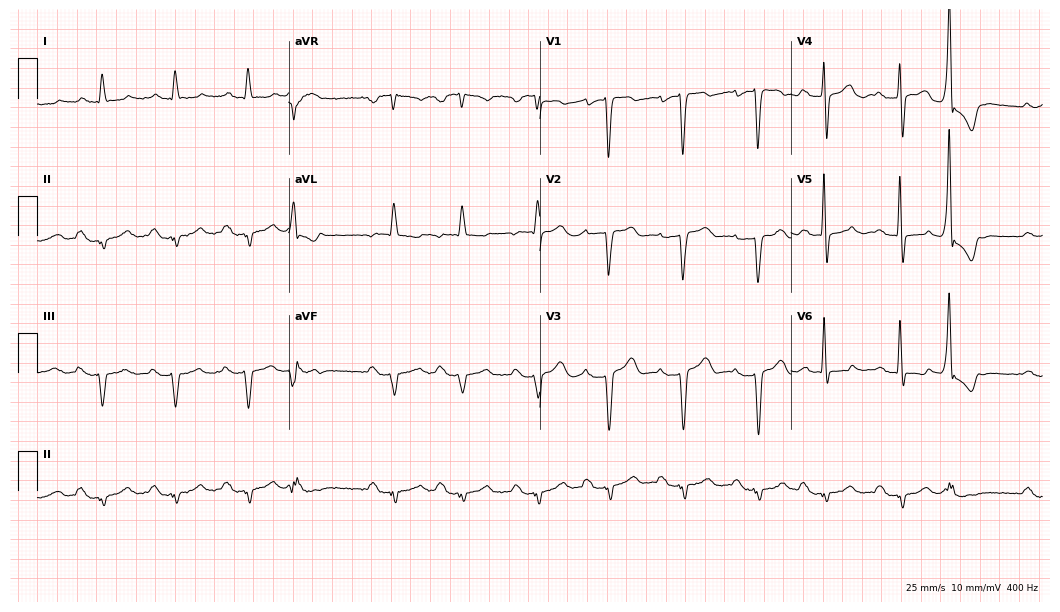
Standard 12-lead ECG recorded from an 83-year-old male patient. The tracing shows first-degree AV block.